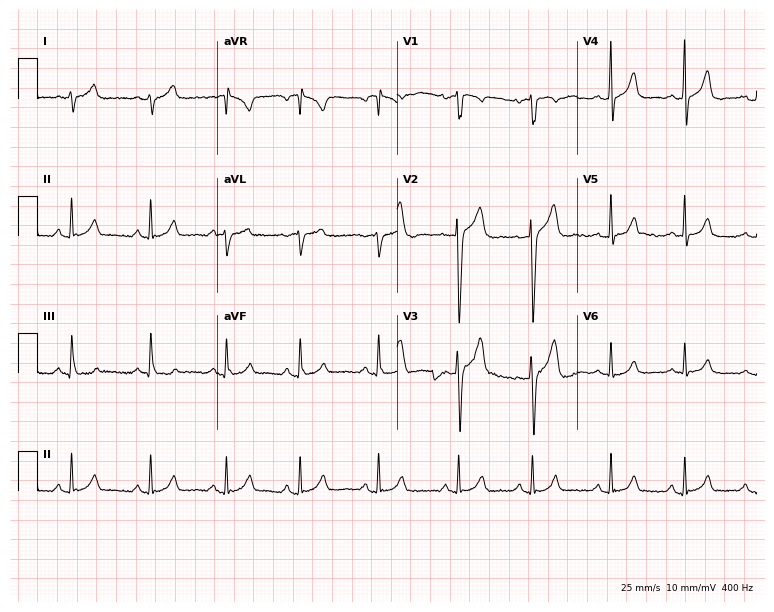
Standard 12-lead ECG recorded from a male, 32 years old. None of these six findings is recorded: first-degree AV block, right bundle branch block, left bundle branch block, sinus bradycardia, atrial fibrillation, sinus tachycardia. Only these six findings were labelled.